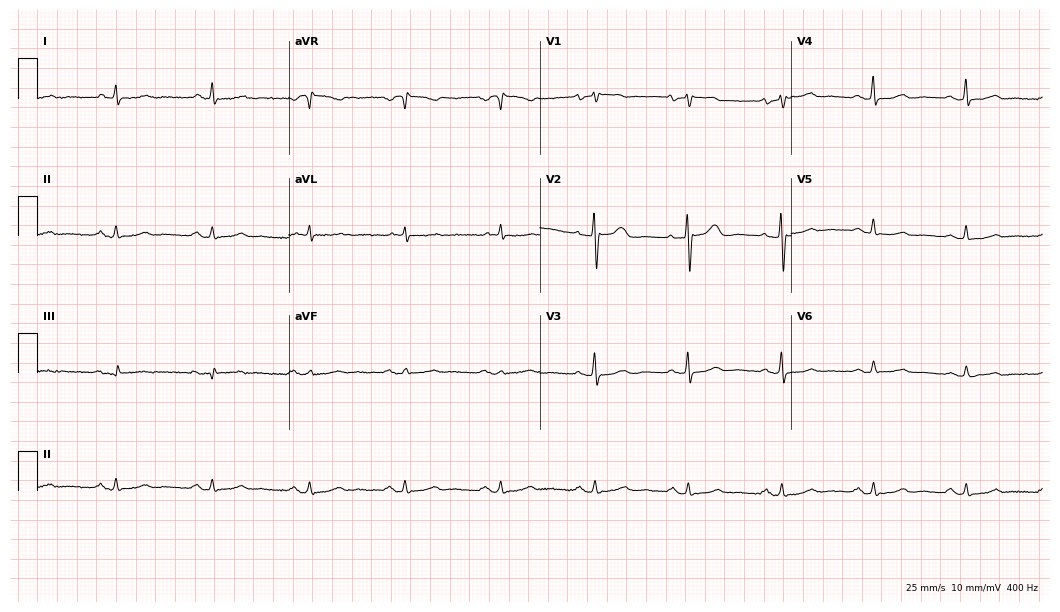
Standard 12-lead ECG recorded from a 78-year-old female (10.2-second recording at 400 Hz). Read as a normal ECG.